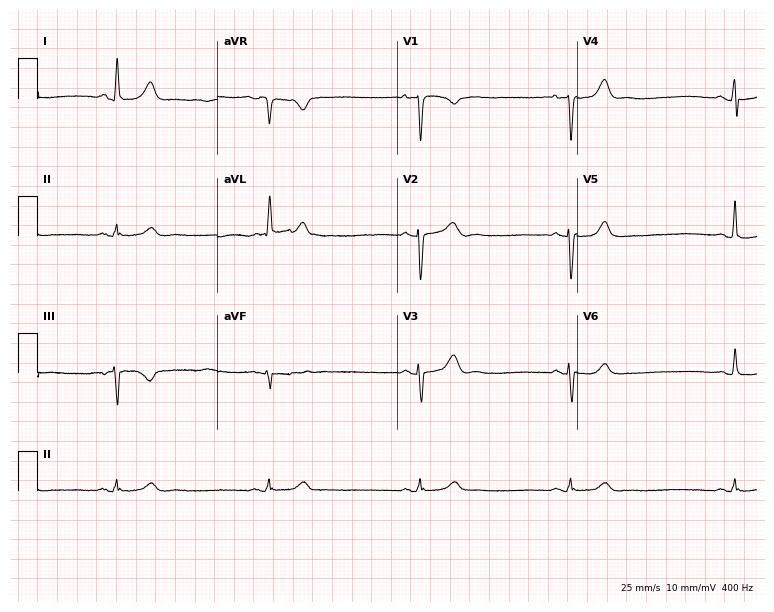
Resting 12-lead electrocardiogram (7.3-second recording at 400 Hz). Patient: a 54-year-old woman. The tracing shows sinus bradycardia (a sinus rate of 50 beats per minute or less).